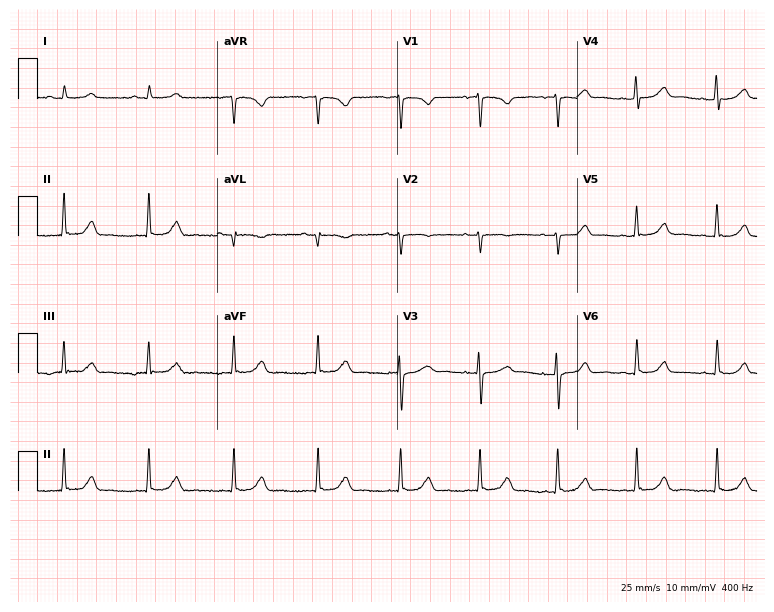
Standard 12-lead ECG recorded from a female, 45 years old (7.3-second recording at 400 Hz). None of these six findings is recorded: first-degree AV block, right bundle branch block (RBBB), left bundle branch block (LBBB), sinus bradycardia, atrial fibrillation (AF), sinus tachycardia. Only these six findings were labelled.